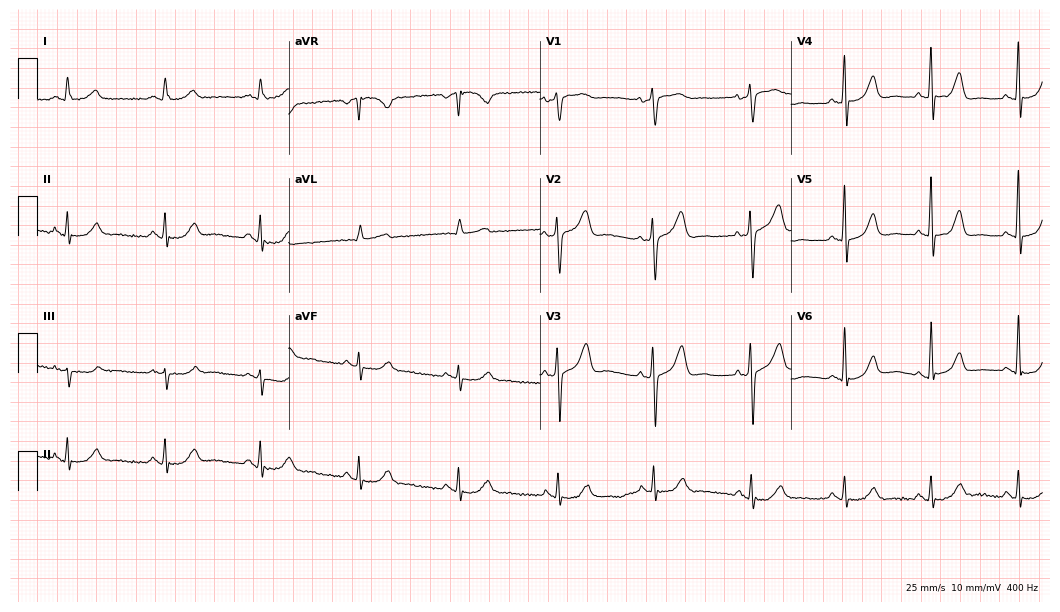
Resting 12-lead electrocardiogram (10.2-second recording at 400 Hz). Patient: a female, 82 years old. Read as a normal ECG.